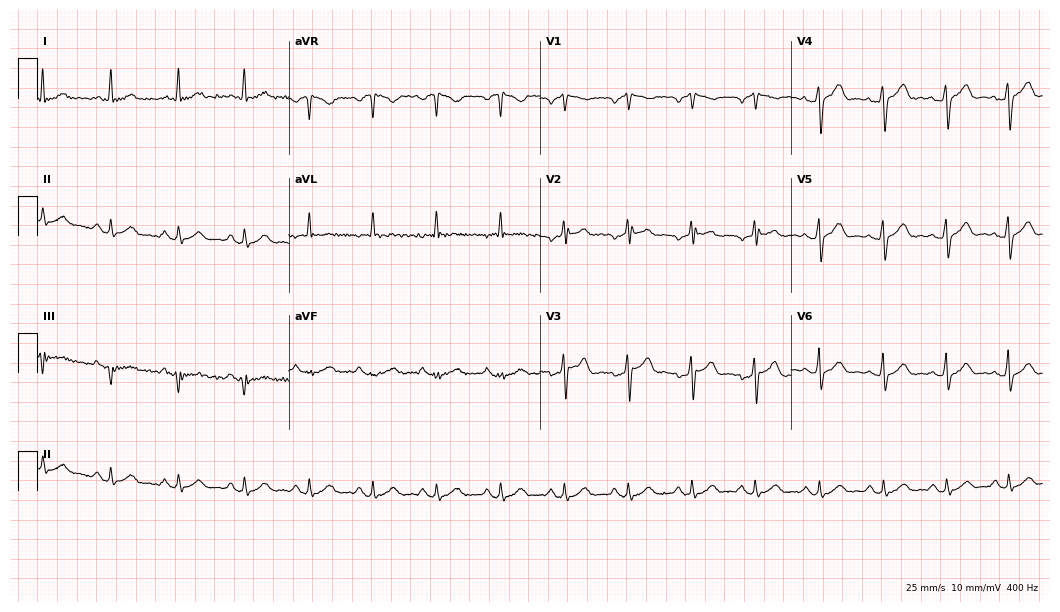
Standard 12-lead ECG recorded from a male patient, 51 years old (10.2-second recording at 400 Hz). None of these six findings is recorded: first-degree AV block, right bundle branch block, left bundle branch block, sinus bradycardia, atrial fibrillation, sinus tachycardia.